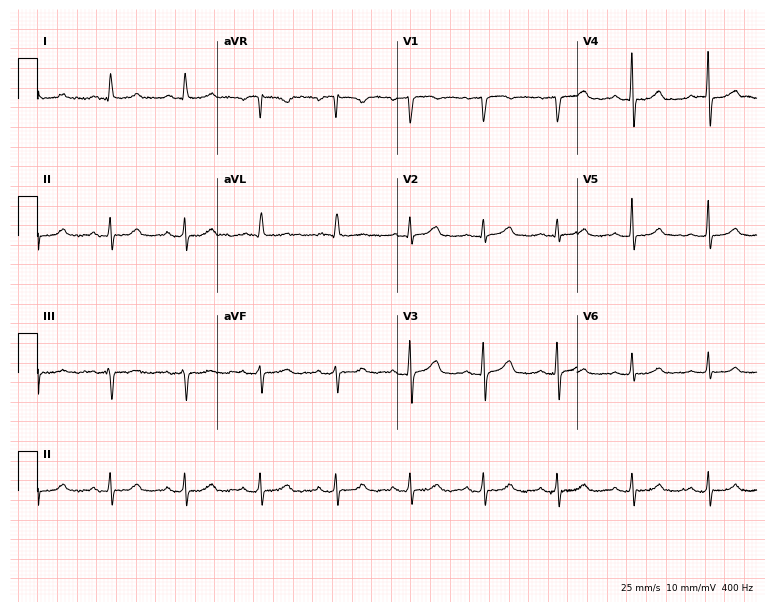
Resting 12-lead electrocardiogram (7.3-second recording at 400 Hz). Patient: a woman, 72 years old. None of these six findings is recorded: first-degree AV block, right bundle branch block, left bundle branch block, sinus bradycardia, atrial fibrillation, sinus tachycardia. Only these six findings were labelled.